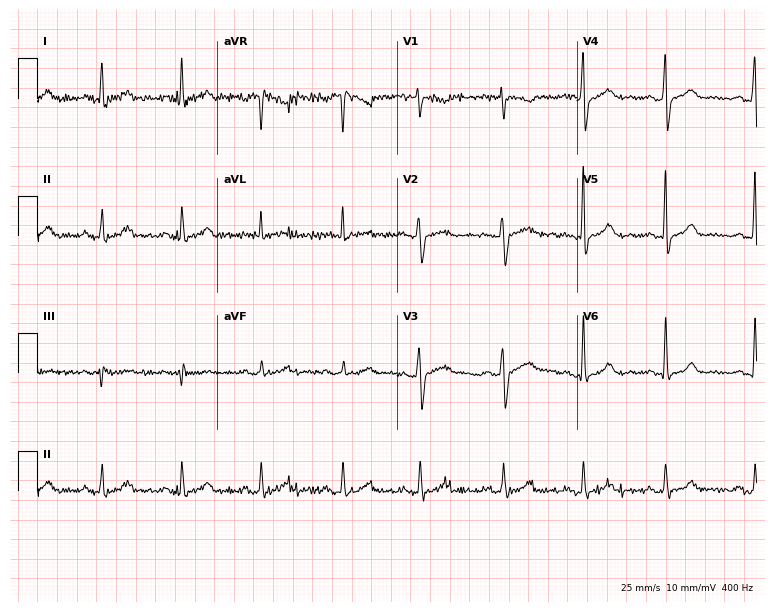
Standard 12-lead ECG recorded from a woman, 33 years old (7.3-second recording at 400 Hz). None of these six findings is recorded: first-degree AV block, right bundle branch block (RBBB), left bundle branch block (LBBB), sinus bradycardia, atrial fibrillation (AF), sinus tachycardia. Only these six findings were labelled.